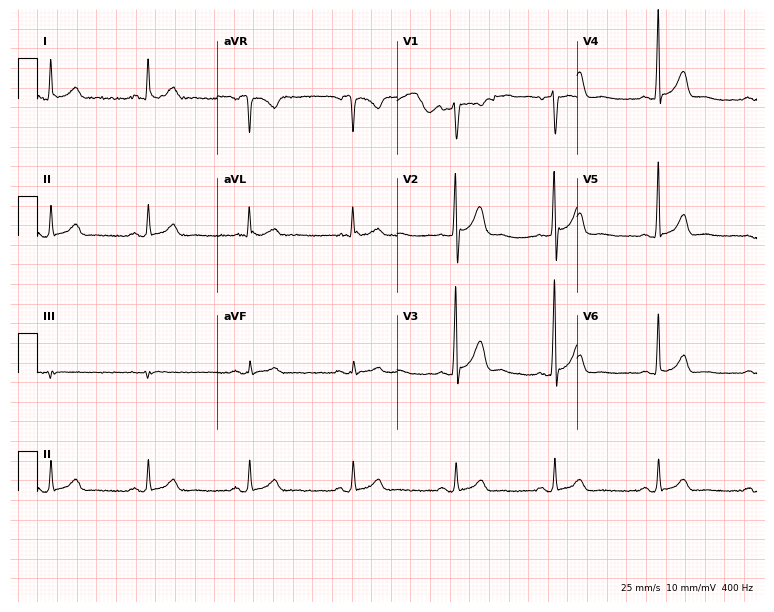
Electrocardiogram (7.3-second recording at 400 Hz), a 37-year-old male. Of the six screened findings (first-degree AV block, right bundle branch block, left bundle branch block, sinus bradycardia, atrial fibrillation, sinus tachycardia), none is recorded. Other findings, if any, are not listed.